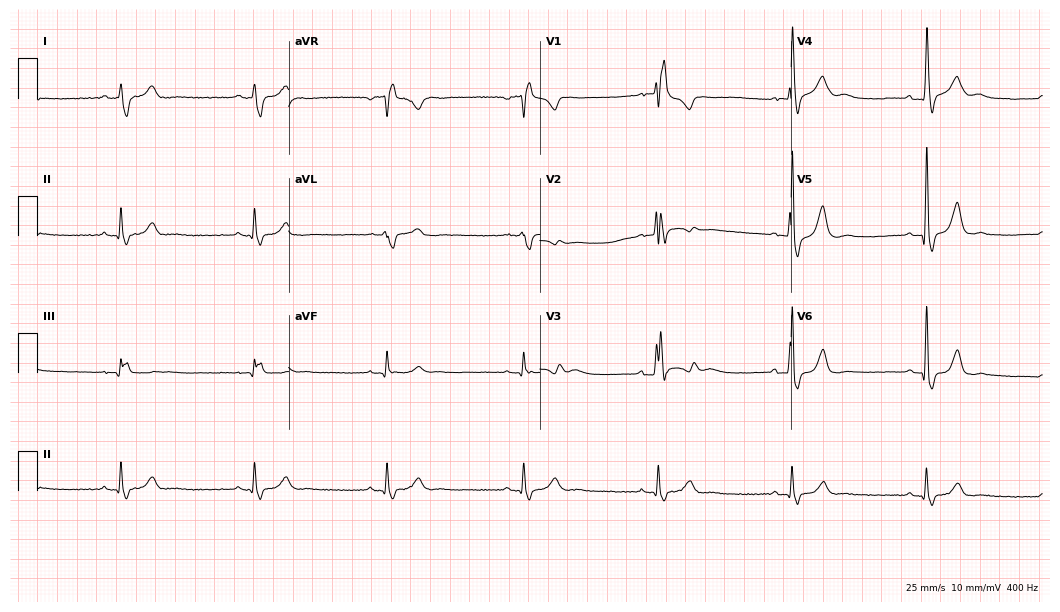
Electrocardiogram (10.2-second recording at 400 Hz), a 59-year-old male. Interpretation includes right bundle branch block, sinus bradycardia (a sinus rate of 50 beats per minute or less).